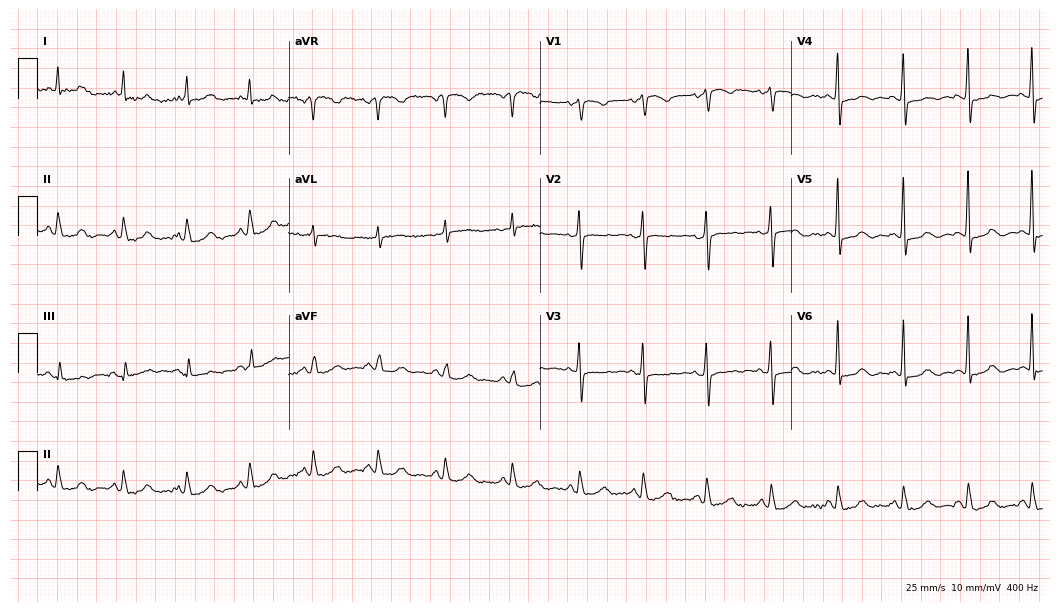
12-lead ECG from a 78-year-old female patient. No first-degree AV block, right bundle branch block (RBBB), left bundle branch block (LBBB), sinus bradycardia, atrial fibrillation (AF) or sinus tachycardia recorded for this tracing.